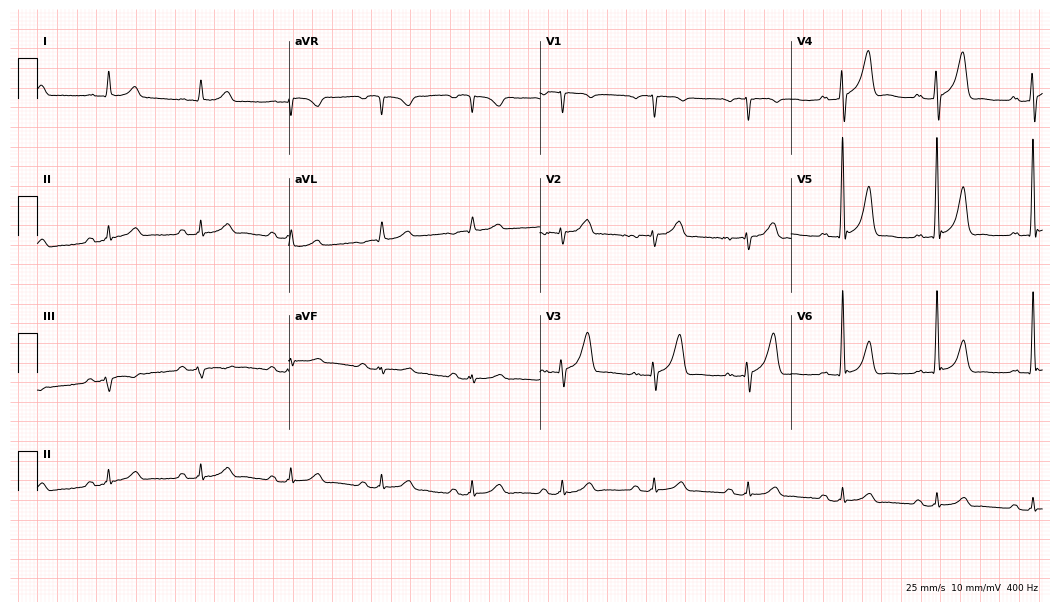
Resting 12-lead electrocardiogram. Patient: a man, 80 years old. Read as a normal ECG.